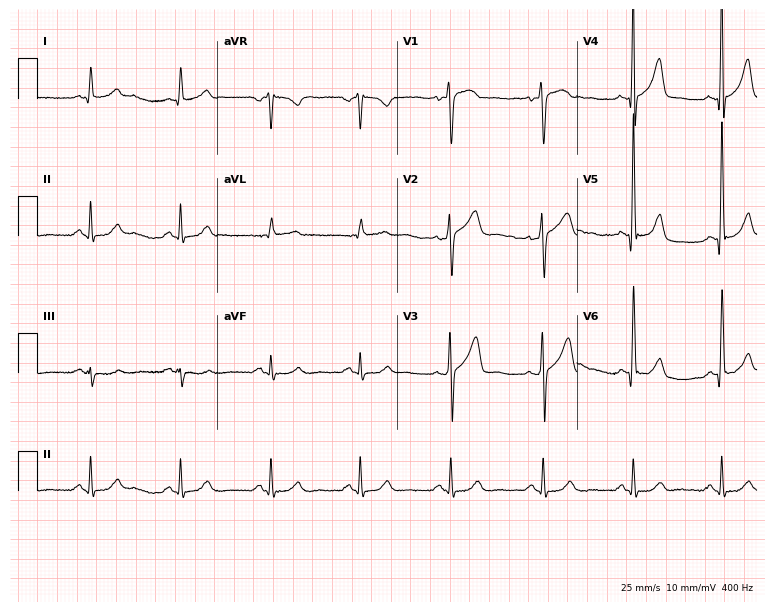
ECG (7.3-second recording at 400 Hz) — a 65-year-old man. Screened for six findings — first-degree AV block, right bundle branch block, left bundle branch block, sinus bradycardia, atrial fibrillation, sinus tachycardia — none is recorded. Only these six findings were labelled.